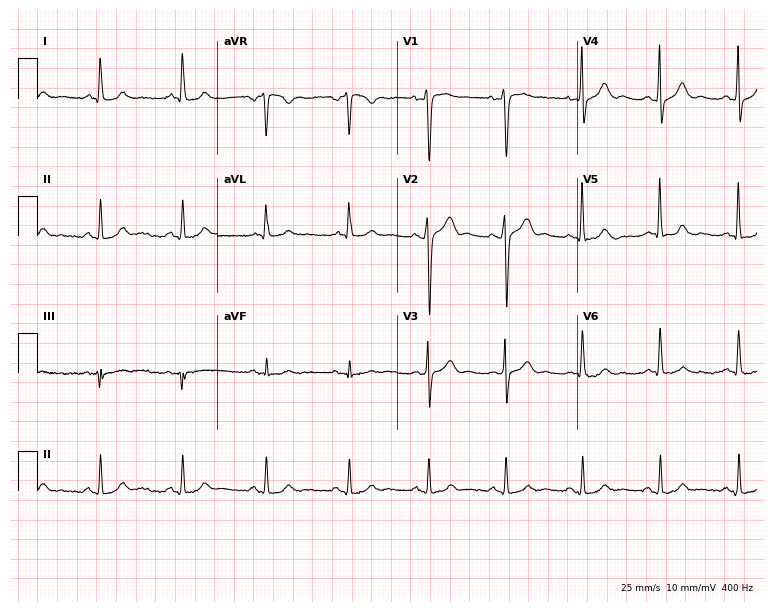
Resting 12-lead electrocardiogram. Patient: a man, 44 years old. Read as a normal ECG.